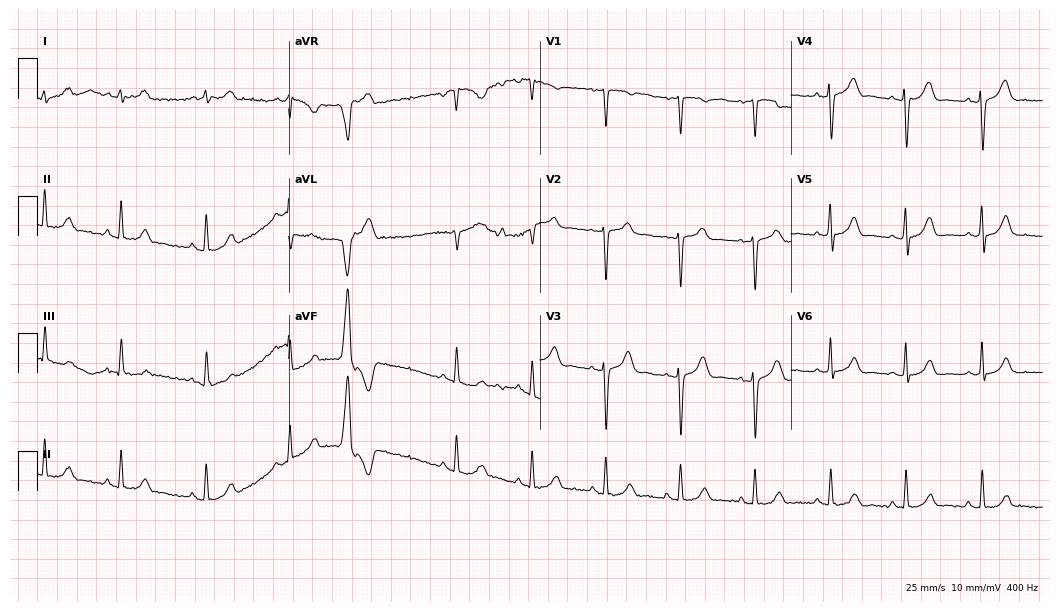
ECG — a 44-year-old female patient. Labelled as a normal ECG.